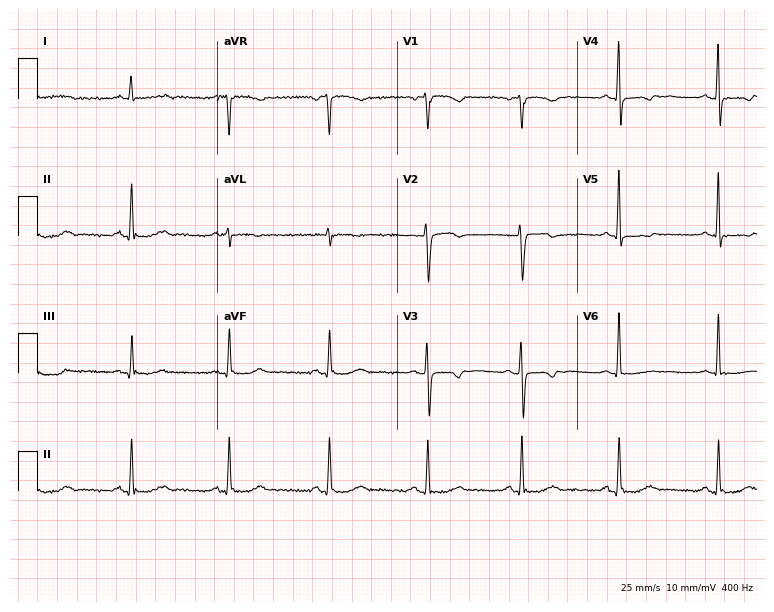
Electrocardiogram, a 52-year-old female patient. Of the six screened findings (first-degree AV block, right bundle branch block, left bundle branch block, sinus bradycardia, atrial fibrillation, sinus tachycardia), none is recorded.